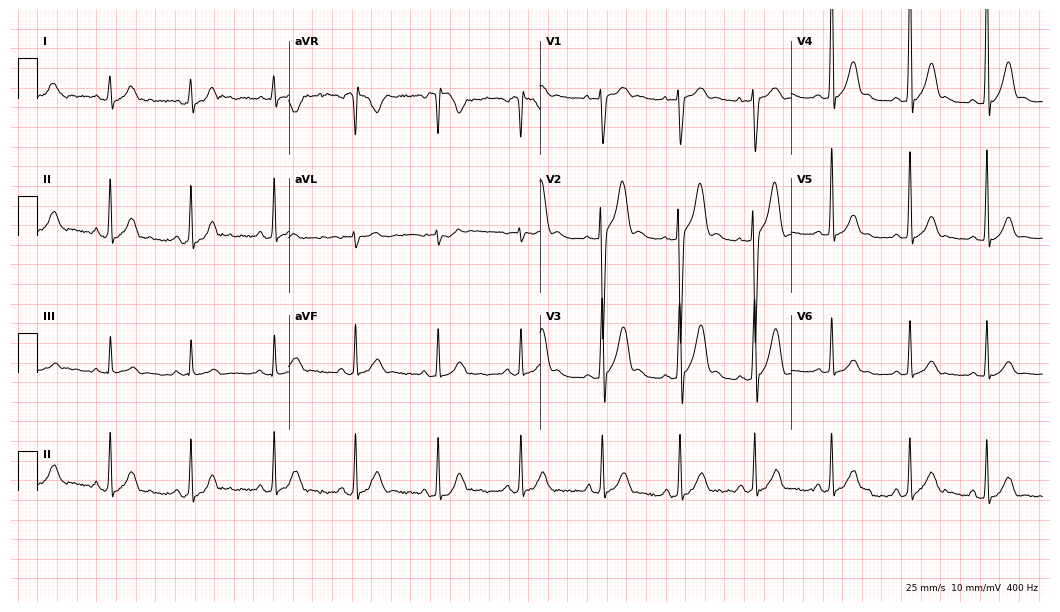
12-lead ECG (10.2-second recording at 400 Hz) from a 17-year-old man. Screened for six findings — first-degree AV block, right bundle branch block (RBBB), left bundle branch block (LBBB), sinus bradycardia, atrial fibrillation (AF), sinus tachycardia — none is recorded. Other findings, if any, are not listed.